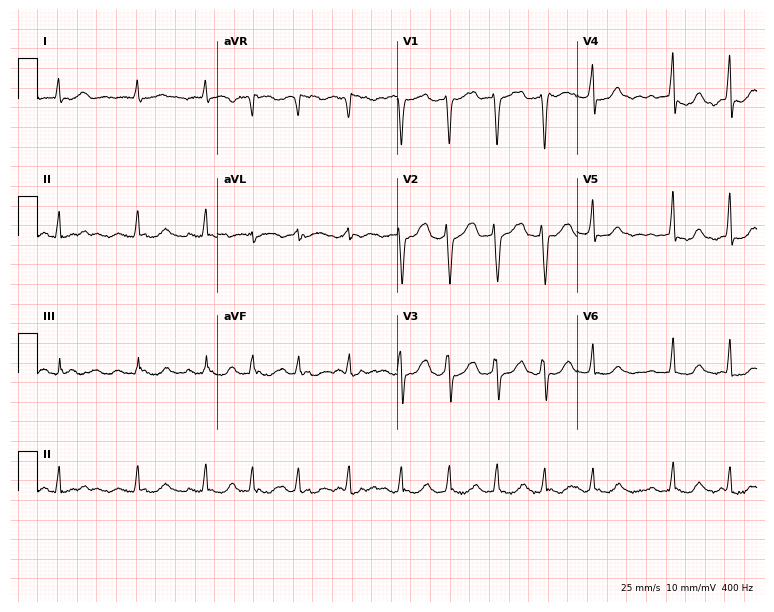
Resting 12-lead electrocardiogram. Patient: a 58-year-old female. The tracing shows atrial fibrillation.